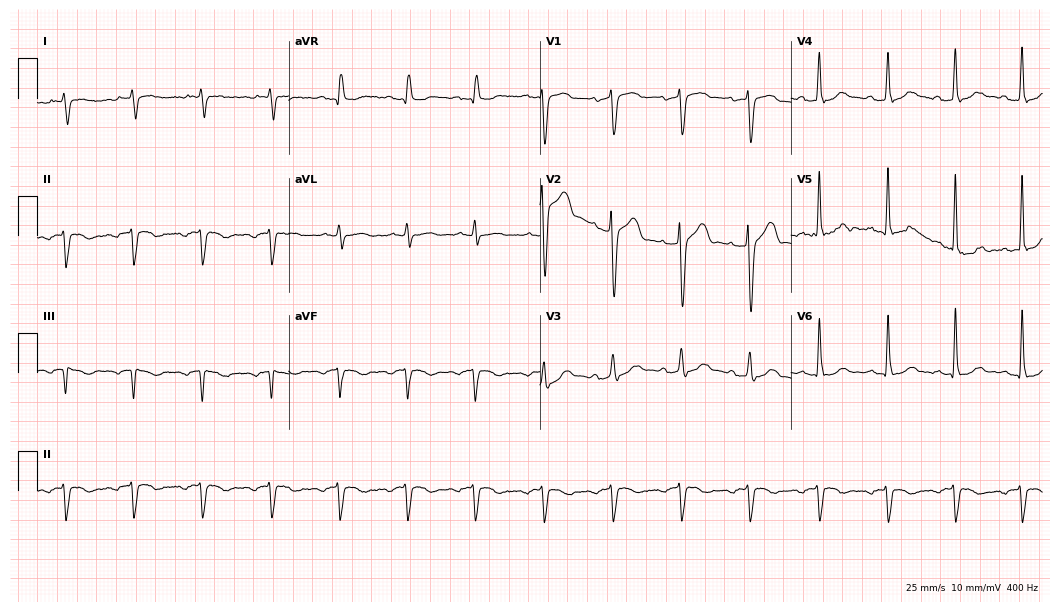
ECG — a male, 56 years old. Screened for six findings — first-degree AV block, right bundle branch block, left bundle branch block, sinus bradycardia, atrial fibrillation, sinus tachycardia — none is recorded.